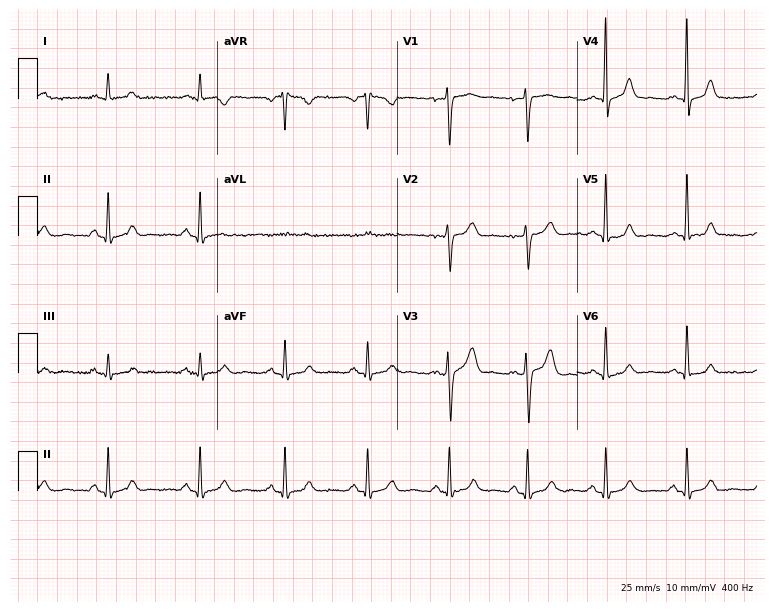
12-lead ECG (7.3-second recording at 400 Hz) from a 34-year-old female patient. Screened for six findings — first-degree AV block, right bundle branch block, left bundle branch block, sinus bradycardia, atrial fibrillation, sinus tachycardia — none is recorded. Findings outside these six are not listed.